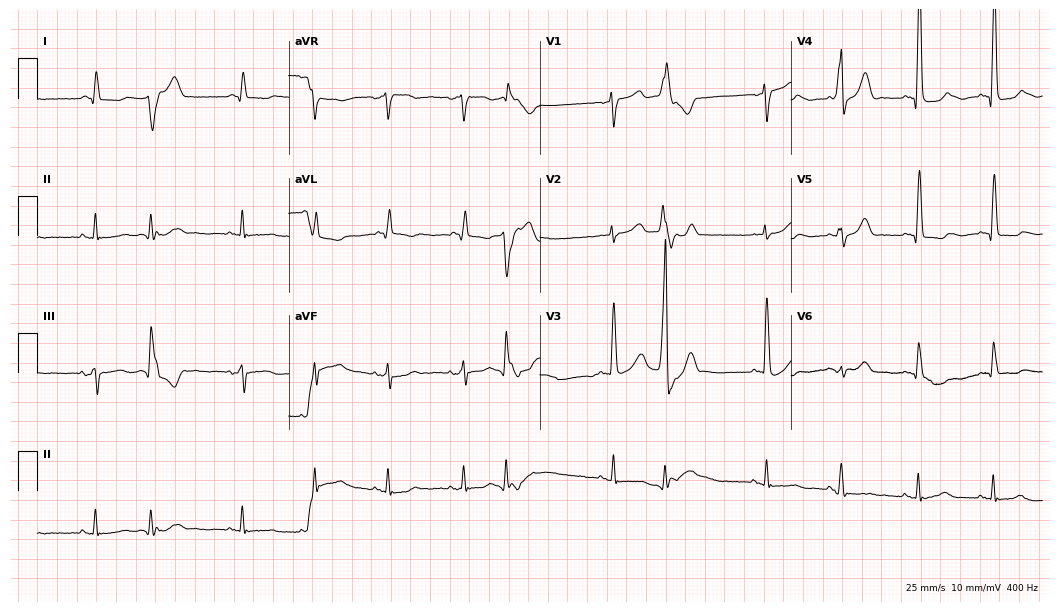
Electrocardiogram (10.2-second recording at 400 Hz), a 69-year-old male patient. Of the six screened findings (first-degree AV block, right bundle branch block, left bundle branch block, sinus bradycardia, atrial fibrillation, sinus tachycardia), none is recorded. Findings outside these six are not listed.